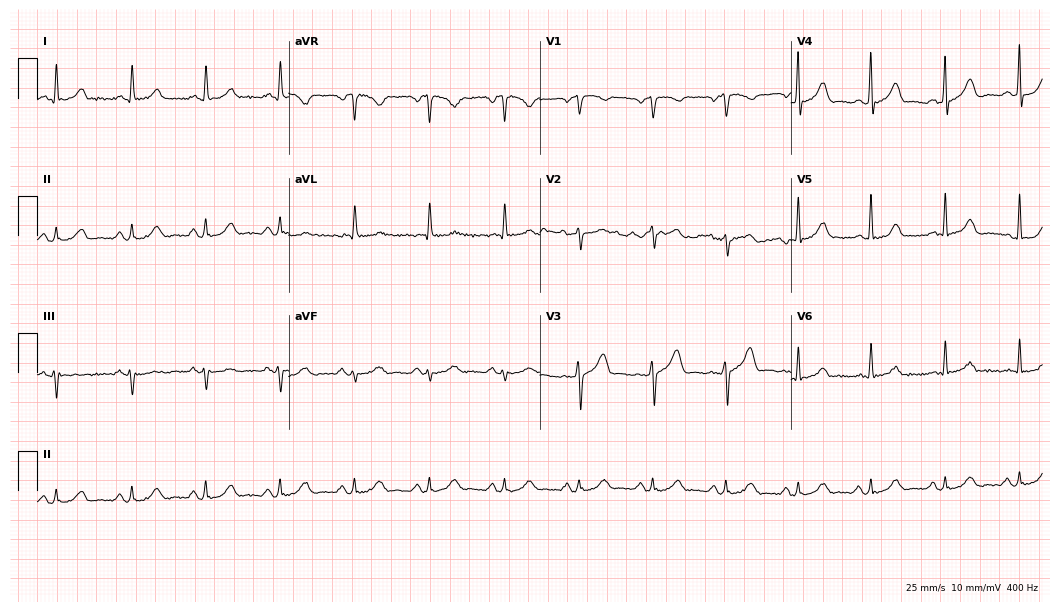
Resting 12-lead electrocardiogram. Patient: a 62-year-old female. None of these six findings is recorded: first-degree AV block, right bundle branch block (RBBB), left bundle branch block (LBBB), sinus bradycardia, atrial fibrillation (AF), sinus tachycardia.